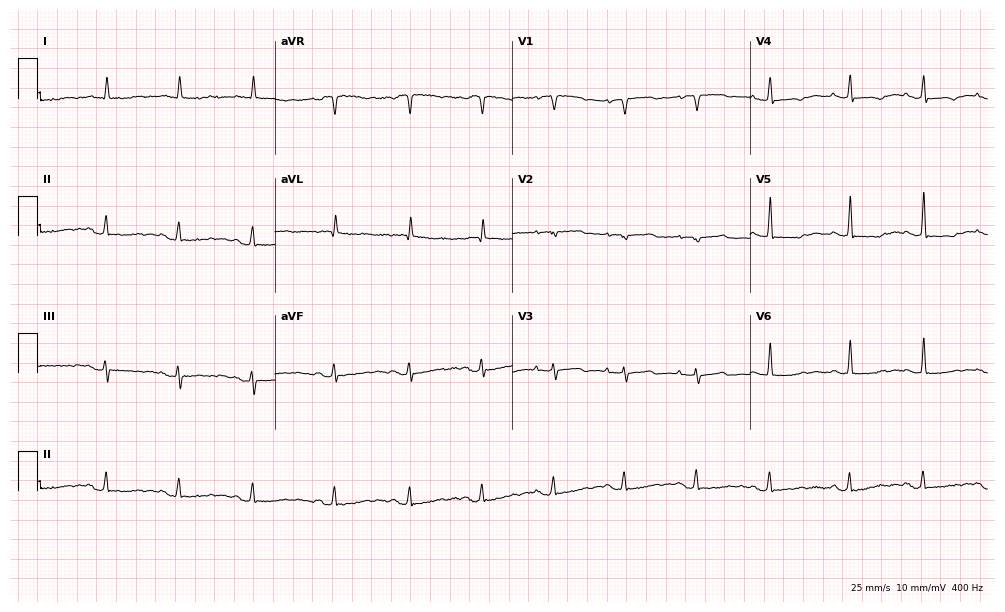
12-lead ECG from a female patient, 83 years old (9.7-second recording at 400 Hz). Recorded interpretation: within normal limits.